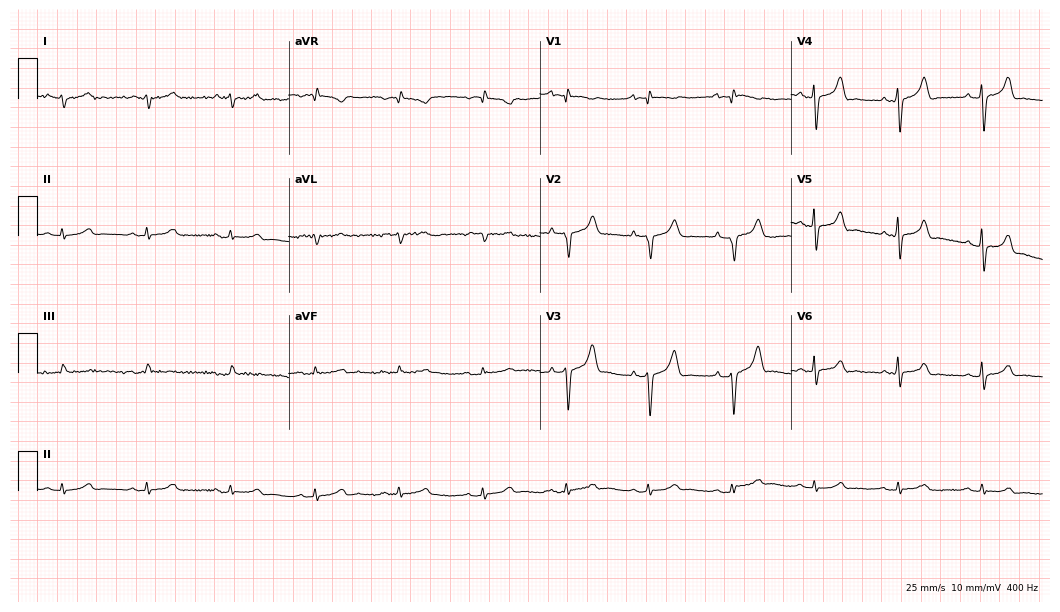
12-lead ECG from a 75-year-old man (10.2-second recording at 400 Hz). No first-degree AV block, right bundle branch block (RBBB), left bundle branch block (LBBB), sinus bradycardia, atrial fibrillation (AF) or sinus tachycardia recorded for this tracing.